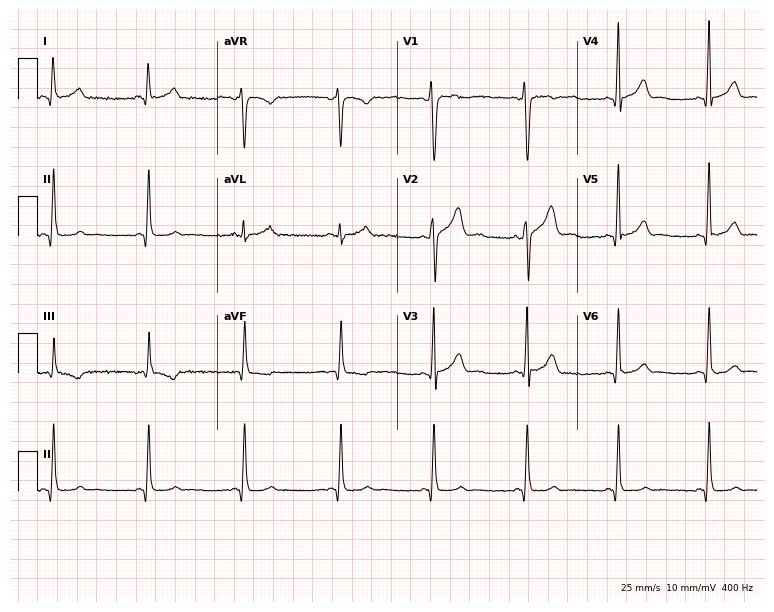
Electrocardiogram (7.3-second recording at 400 Hz), a 27-year-old male. Of the six screened findings (first-degree AV block, right bundle branch block (RBBB), left bundle branch block (LBBB), sinus bradycardia, atrial fibrillation (AF), sinus tachycardia), none is recorded.